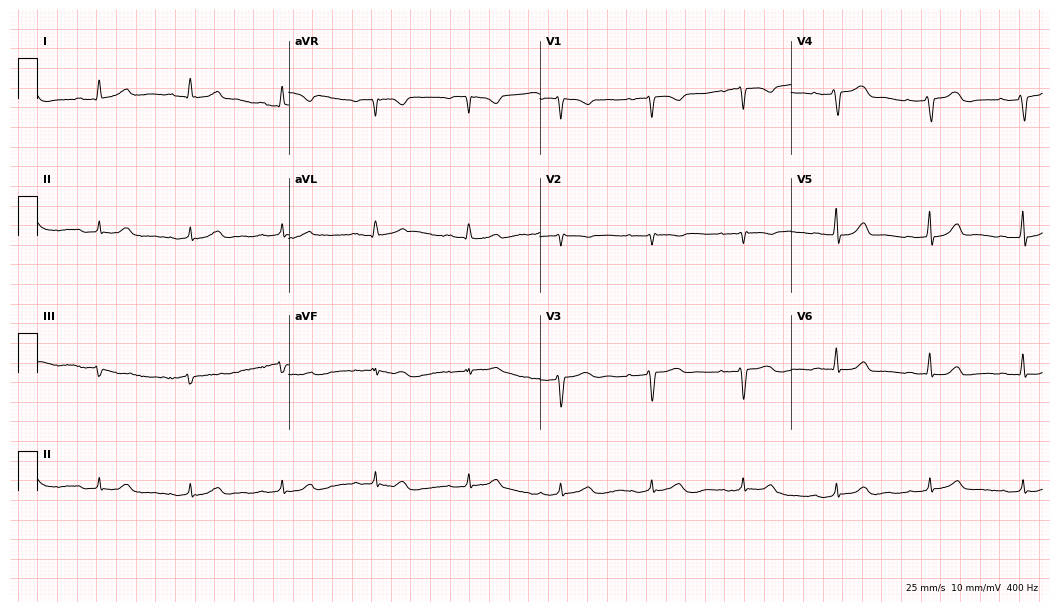
Electrocardiogram, a woman, 55 years old. Of the six screened findings (first-degree AV block, right bundle branch block, left bundle branch block, sinus bradycardia, atrial fibrillation, sinus tachycardia), none is recorded. Other findings, if any, are not listed.